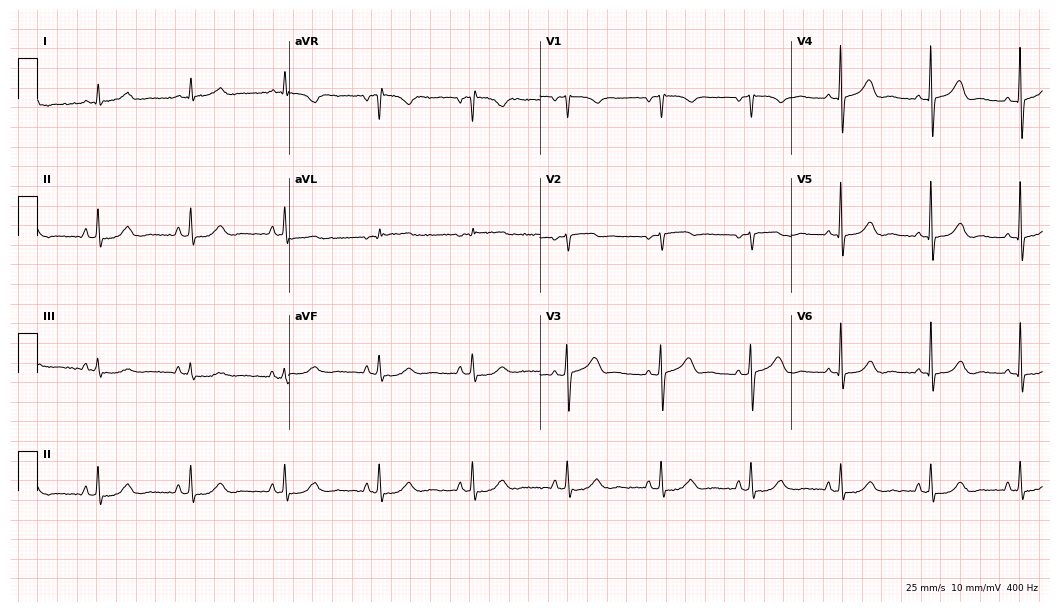
12-lead ECG from a female, 53 years old. Recorded interpretation: within normal limits.